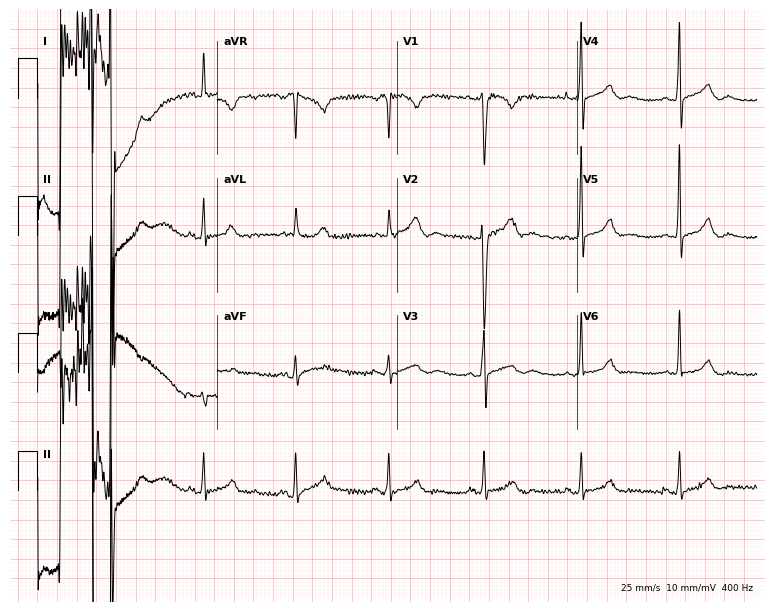
ECG — a male patient, 28 years old. Screened for six findings — first-degree AV block, right bundle branch block, left bundle branch block, sinus bradycardia, atrial fibrillation, sinus tachycardia — none is recorded.